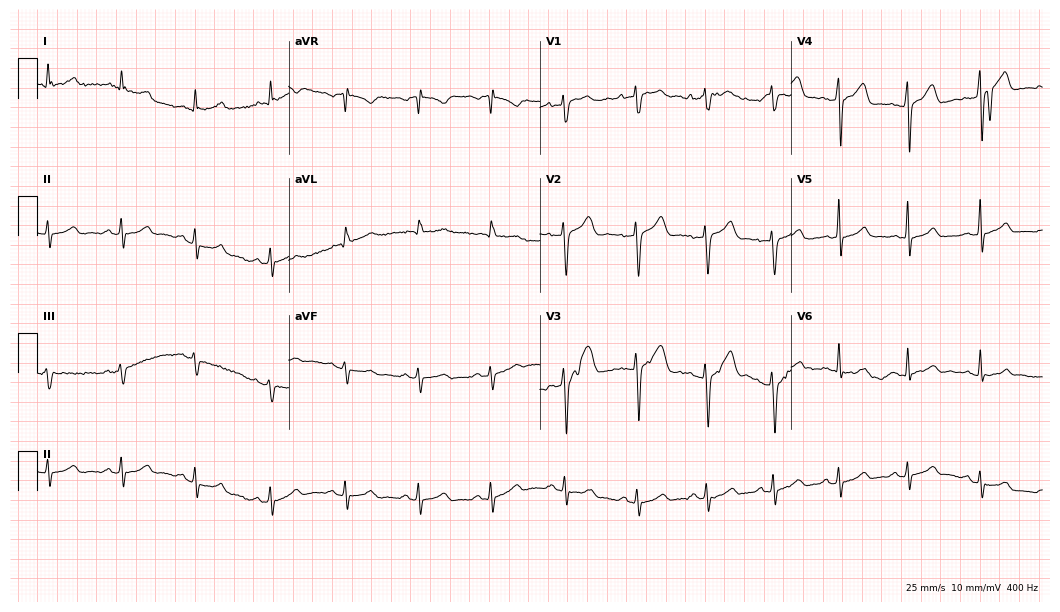
12-lead ECG from a 28-year-old man (10.2-second recording at 400 Hz). No first-degree AV block, right bundle branch block, left bundle branch block, sinus bradycardia, atrial fibrillation or sinus tachycardia recorded for this tracing. Other findings, if any, are not listed.